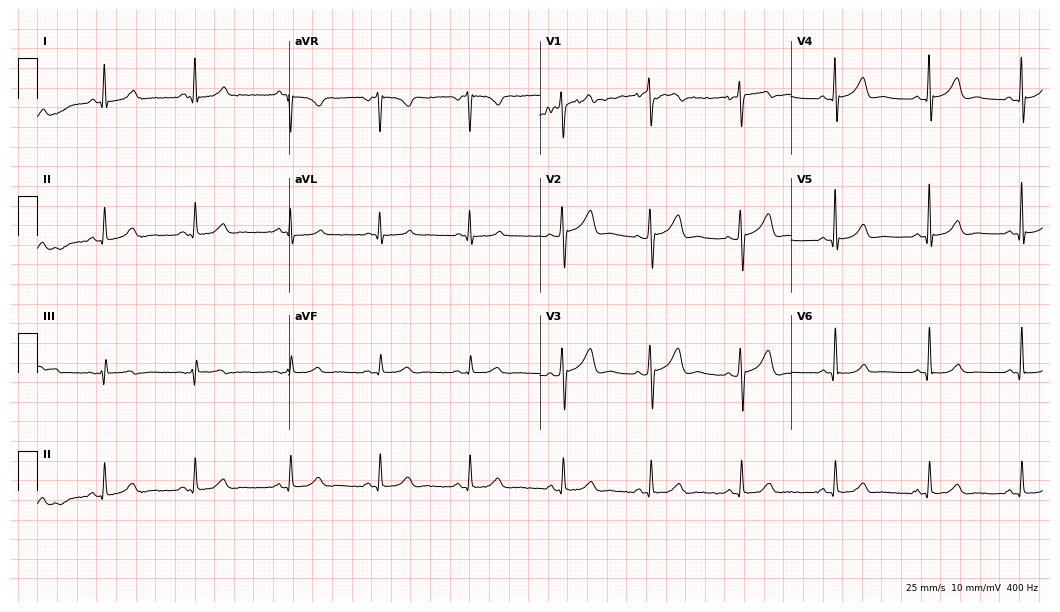
Resting 12-lead electrocardiogram. Patient: a 42-year-old woman. None of these six findings is recorded: first-degree AV block, right bundle branch block, left bundle branch block, sinus bradycardia, atrial fibrillation, sinus tachycardia.